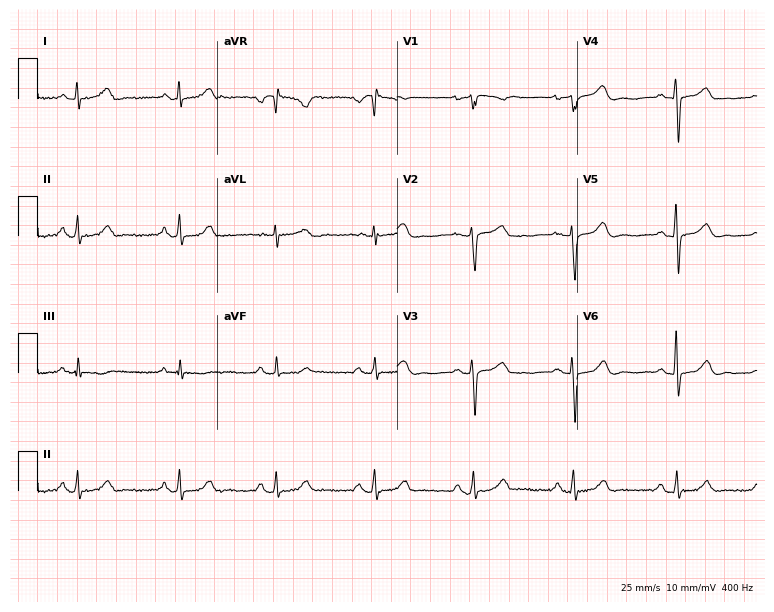
12-lead ECG from a female patient, 58 years old (7.3-second recording at 400 Hz). Recorded interpretation: within normal limits.